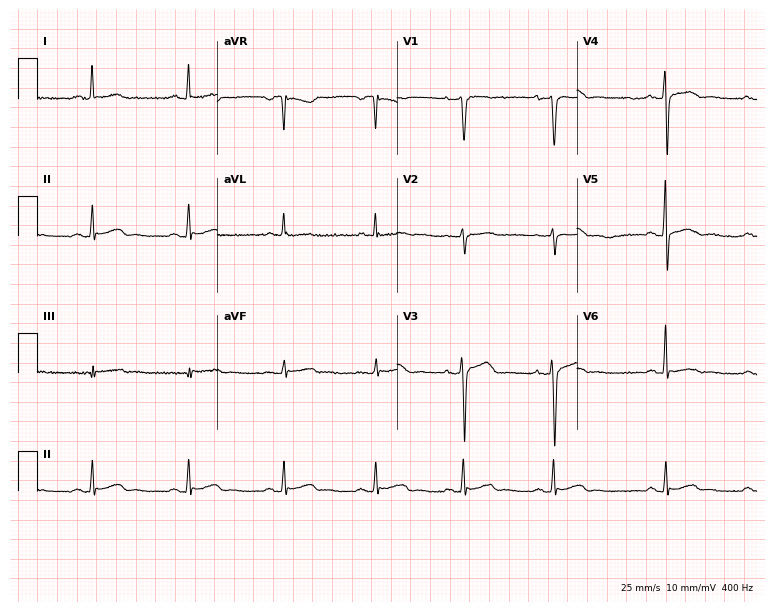
12-lead ECG from a 51-year-old man. Labelled as a normal ECG.